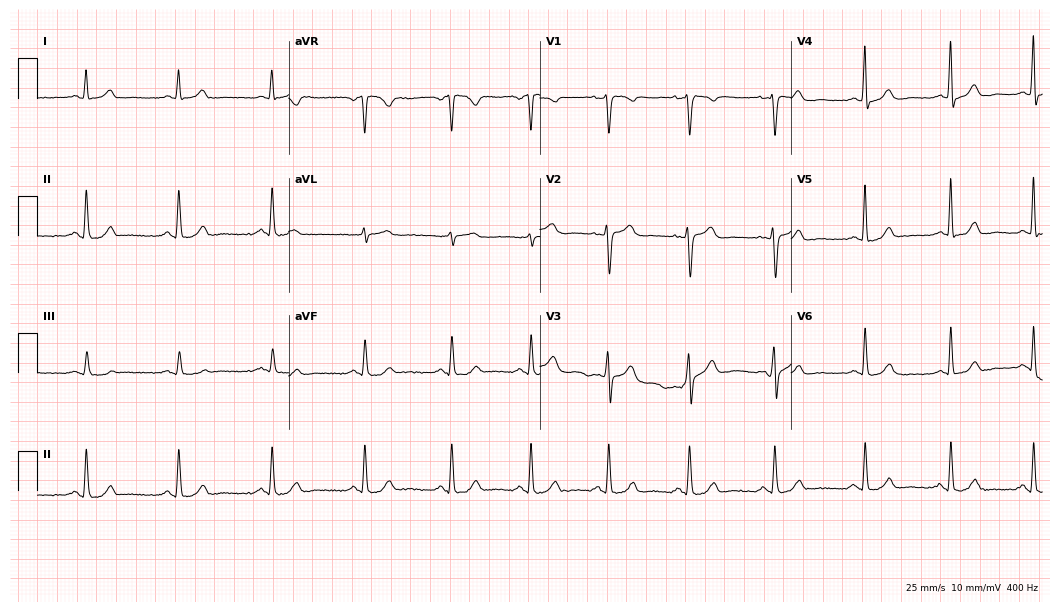
Resting 12-lead electrocardiogram (10.2-second recording at 400 Hz). Patient: a 33-year-old woman. None of these six findings is recorded: first-degree AV block, right bundle branch block, left bundle branch block, sinus bradycardia, atrial fibrillation, sinus tachycardia. Other findings, if any, are not listed.